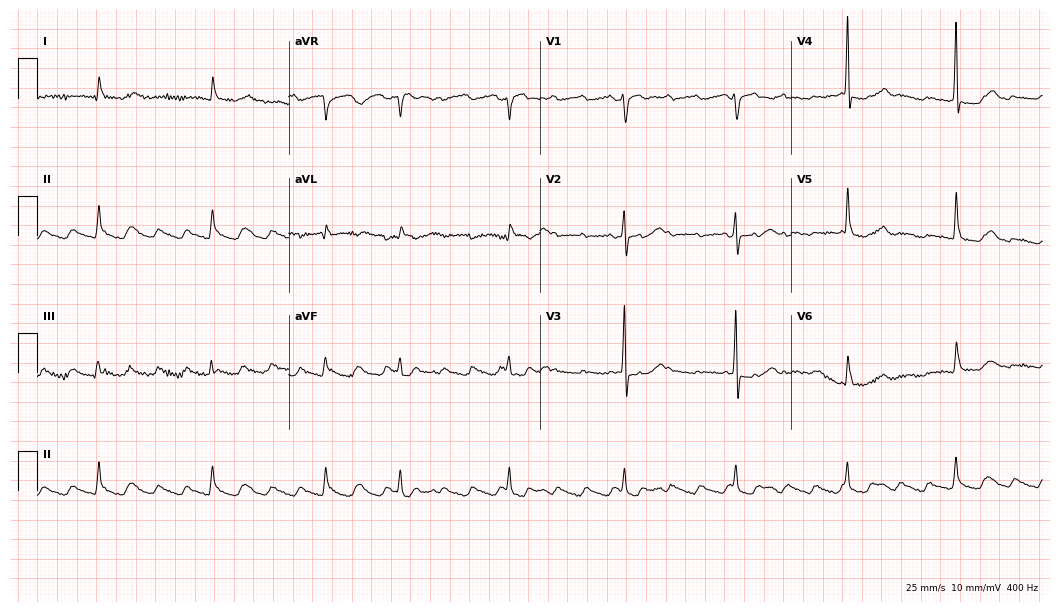
12-lead ECG from a male patient, 70 years old. No first-degree AV block, right bundle branch block, left bundle branch block, sinus bradycardia, atrial fibrillation or sinus tachycardia recorded for this tracing.